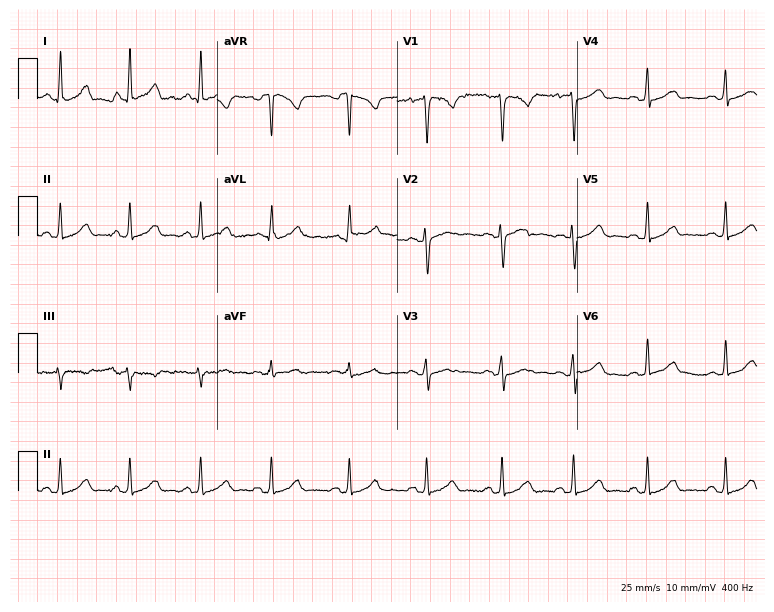
ECG — a female patient, 29 years old. Screened for six findings — first-degree AV block, right bundle branch block (RBBB), left bundle branch block (LBBB), sinus bradycardia, atrial fibrillation (AF), sinus tachycardia — none is recorded. Other findings, if any, are not listed.